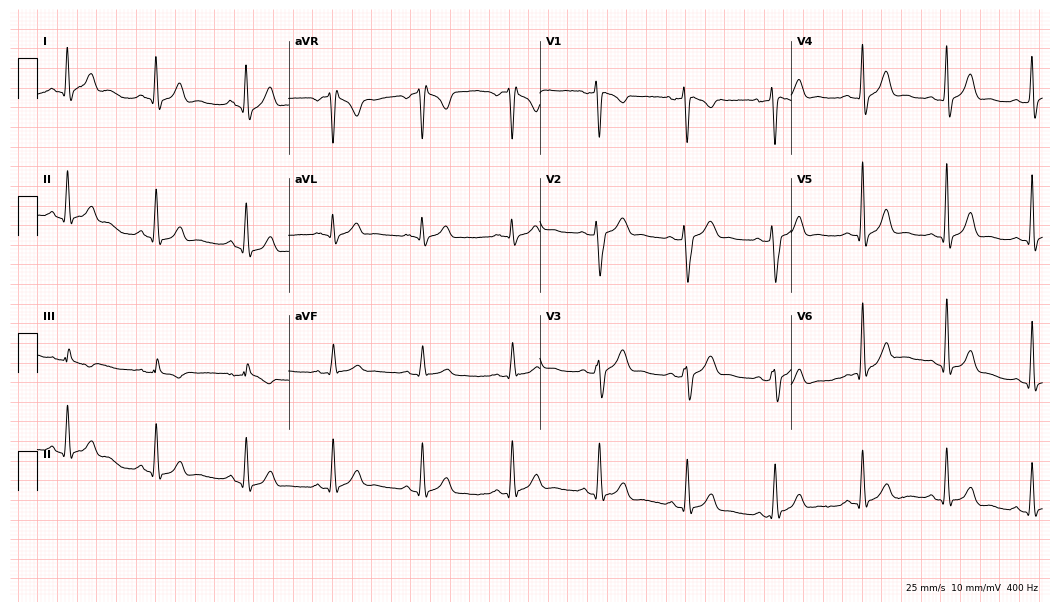
ECG (10.2-second recording at 400 Hz) — a 25-year-old male patient. Screened for six findings — first-degree AV block, right bundle branch block, left bundle branch block, sinus bradycardia, atrial fibrillation, sinus tachycardia — none is recorded. Only these six findings were labelled.